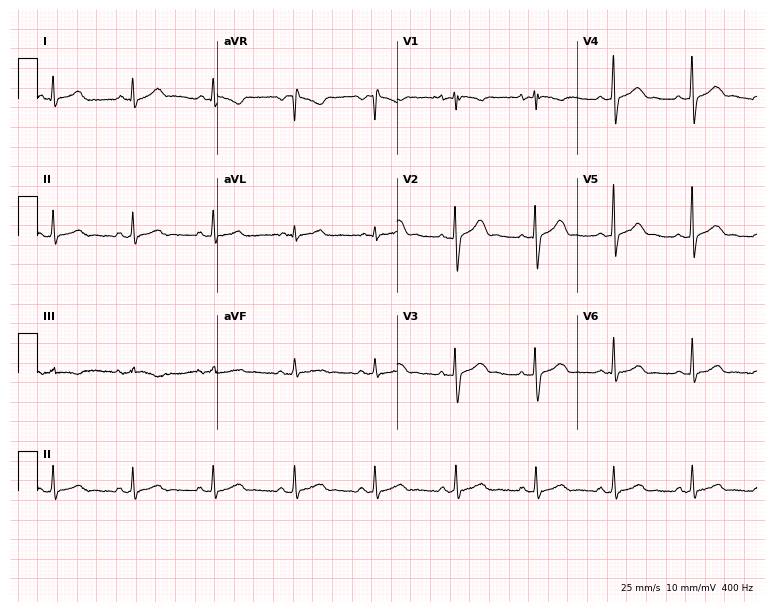
Resting 12-lead electrocardiogram (7.3-second recording at 400 Hz). Patient: a female, 37 years old. Read as a normal ECG.